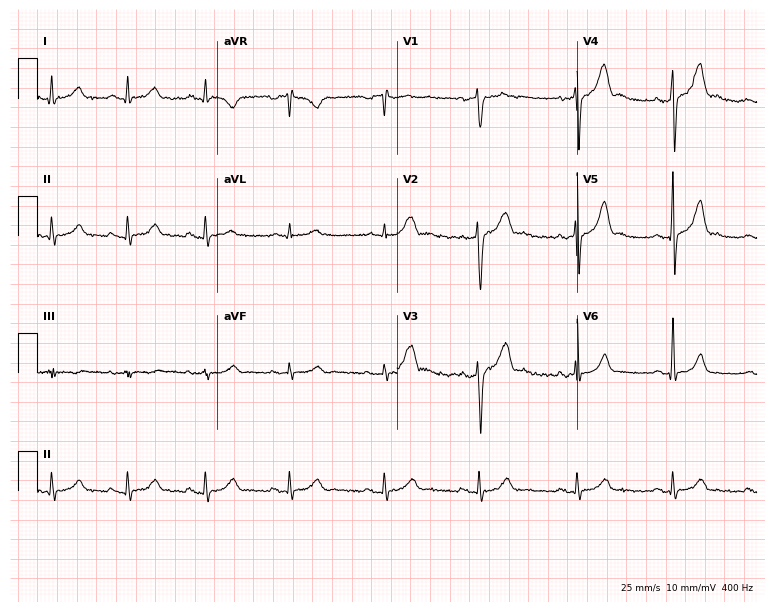
Standard 12-lead ECG recorded from a male, 46 years old (7.3-second recording at 400 Hz). None of these six findings is recorded: first-degree AV block, right bundle branch block (RBBB), left bundle branch block (LBBB), sinus bradycardia, atrial fibrillation (AF), sinus tachycardia.